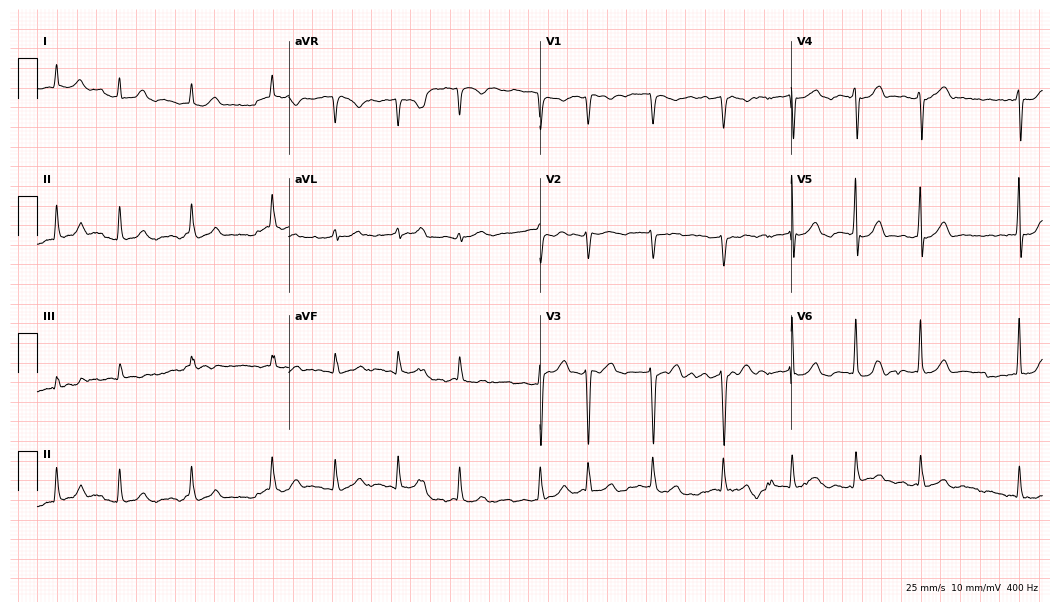
Standard 12-lead ECG recorded from a female patient, 82 years old. The tracing shows atrial fibrillation.